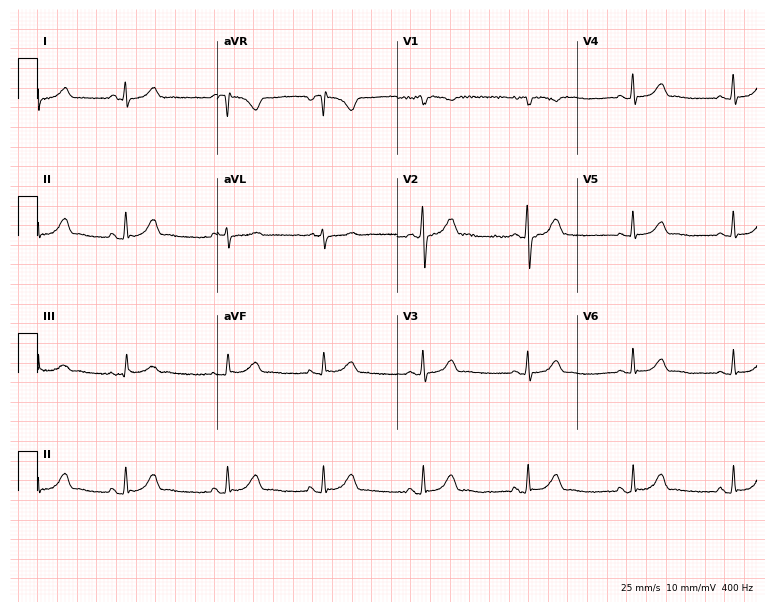
Electrocardiogram, a 25-year-old woman. Overall reading on record: normal ECG.